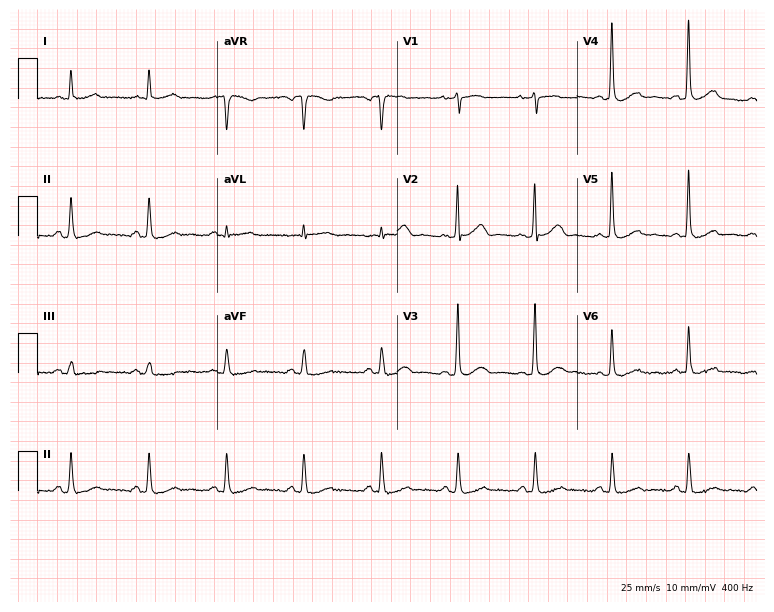
12-lead ECG from a 73-year-old male patient. Labelled as a normal ECG.